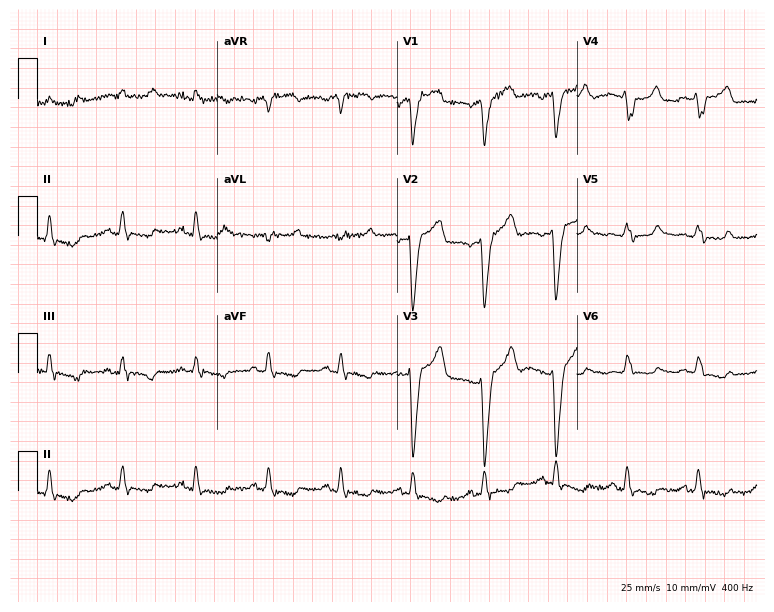
ECG — a man, 54 years old. Findings include left bundle branch block (LBBB).